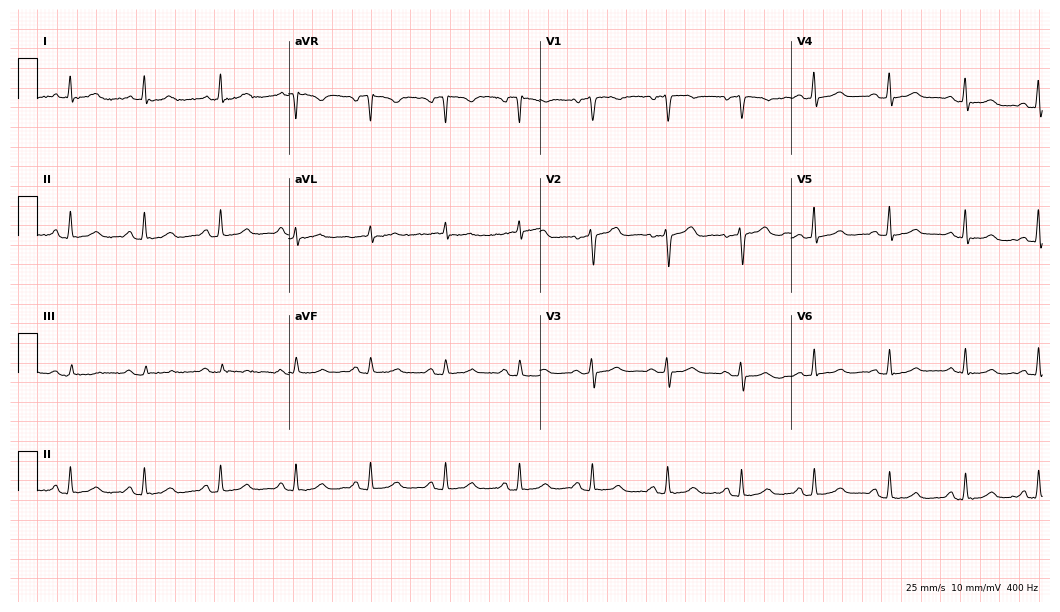
Electrocardiogram, a 56-year-old female. Overall reading on record: normal ECG.